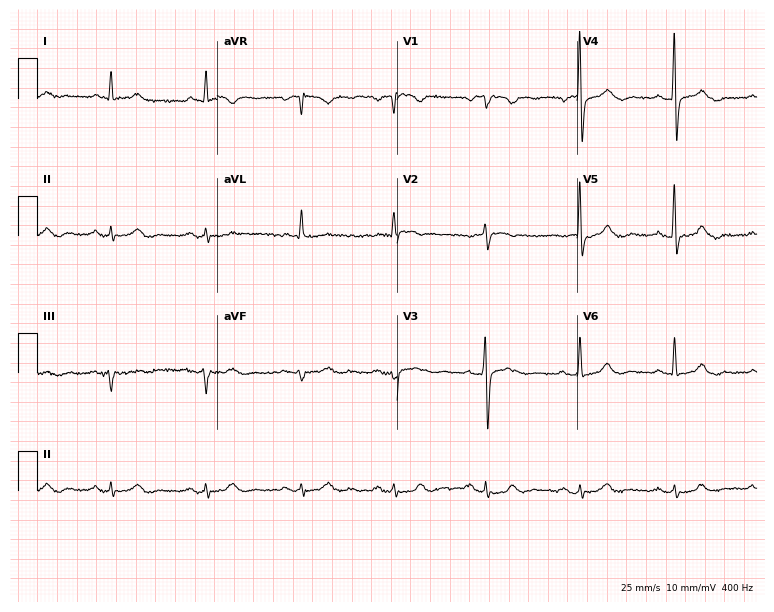
12-lead ECG from a man, 84 years old. Recorded interpretation: within normal limits.